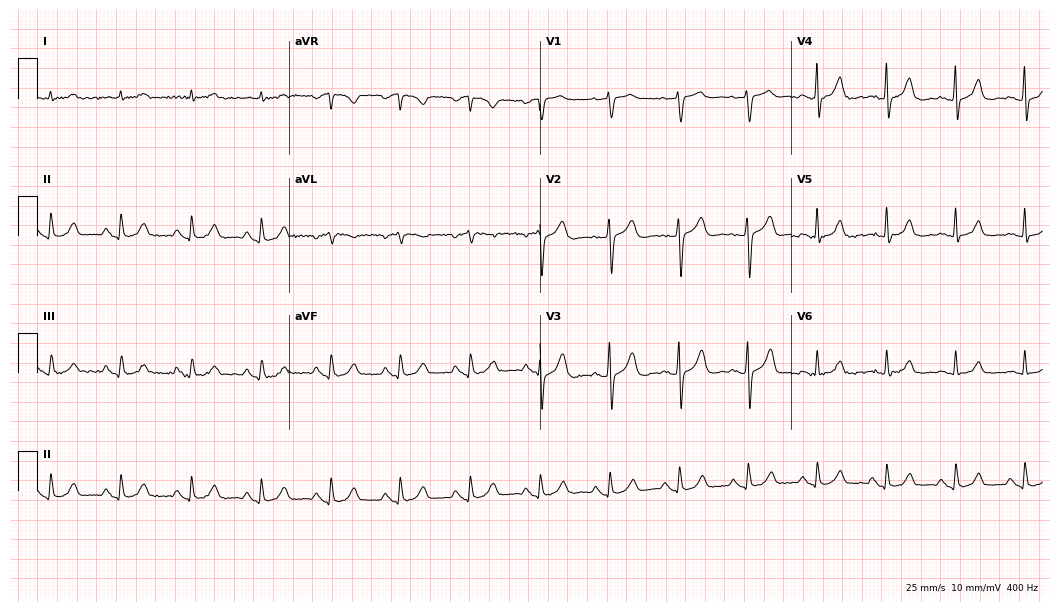
Resting 12-lead electrocardiogram (10.2-second recording at 400 Hz). Patient: a 75-year-old male. Read as a normal ECG.